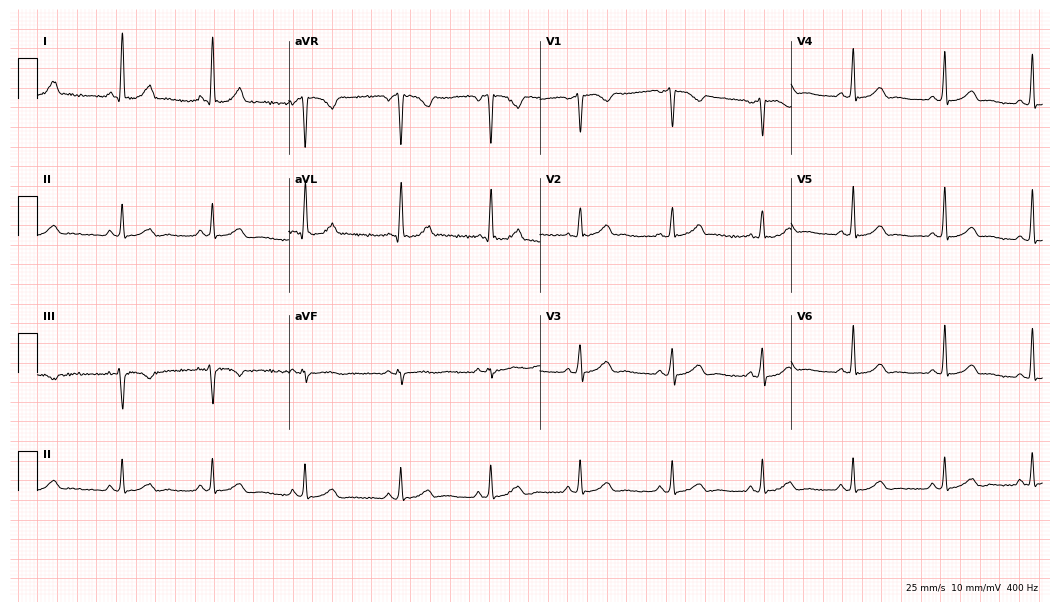
ECG (10.2-second recording at 400 Hz) — a woman, 43 years old. Labelled as a normal ECG.